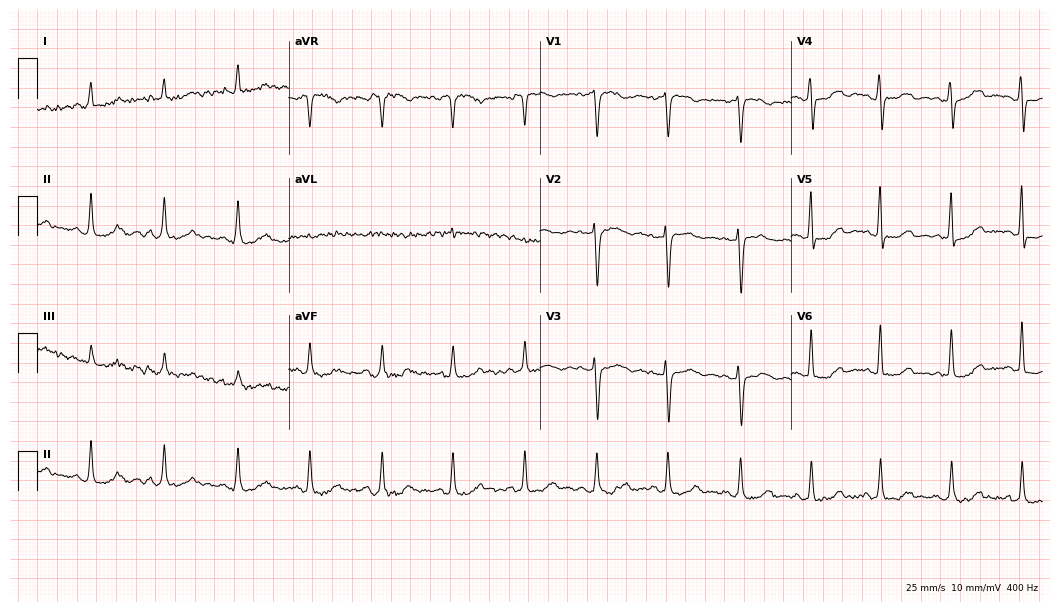
12-lead ECG from a 51-year-old woman. No first-degree AV block, right bundle branch block, left bundle branch block, sinus bradycardia, atrial fibrillation or sinus tachycardia recorded for this tracing.